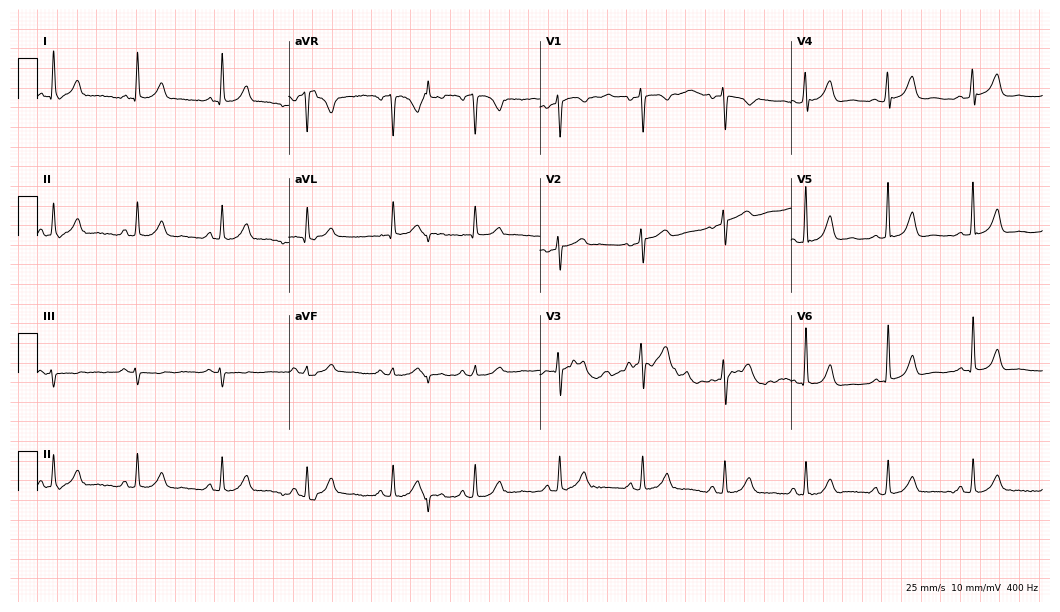
Standard 12-lead ECG recorded from a 63-year-old male (10.2-second recording at 400 Hz). Read as a normal ECG.